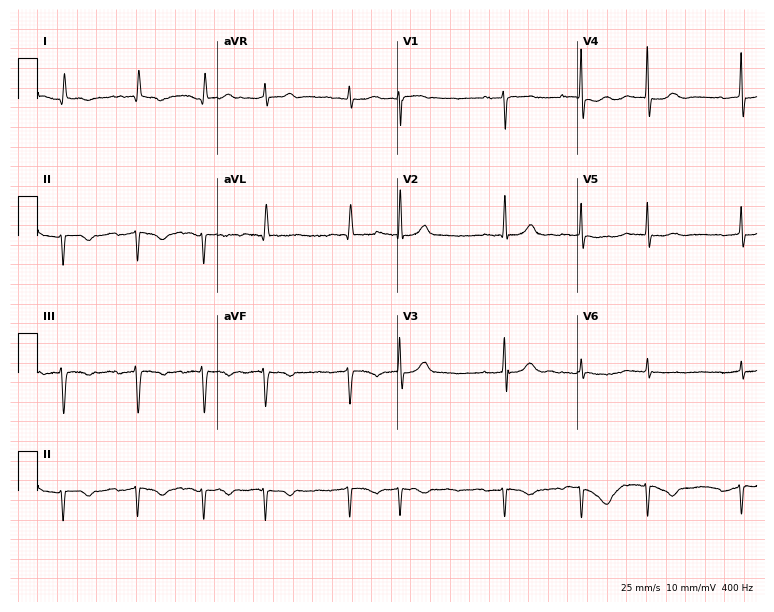
12-lead ECG from a 76-year-old male. No first-degree AV block, right bundle branch block (RBBB), left bundle branch block (LBBB), sinus bradycardia, atrial fibrillation (AF) or sinus tachycardia recorded for this tracing.